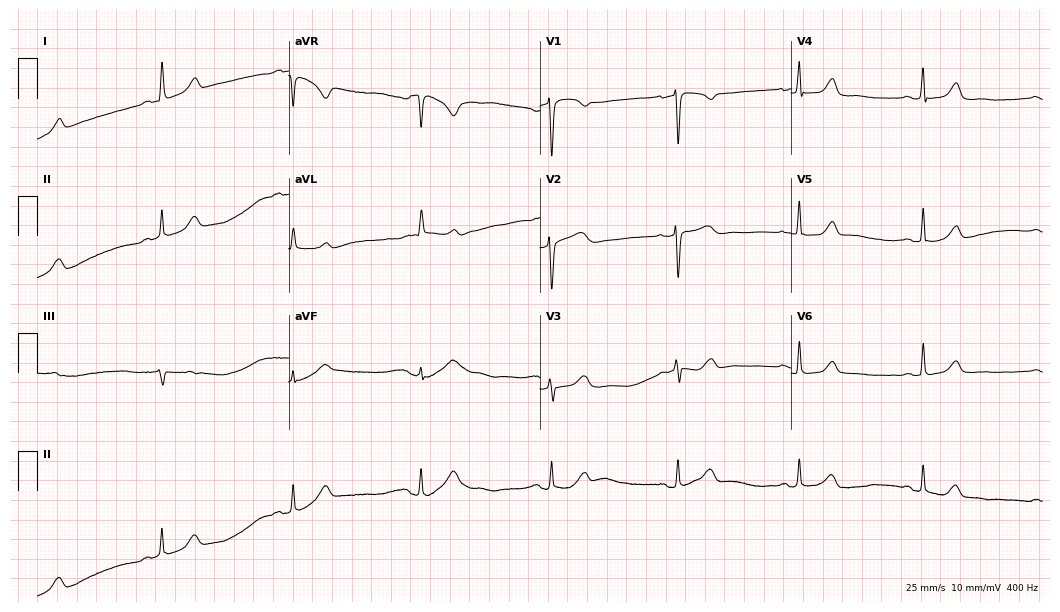
Electrocardiogram, a 62-year-old woman. Interpretation includes sinus bradycardia (a sinus rate of 50 beats per minute or less).